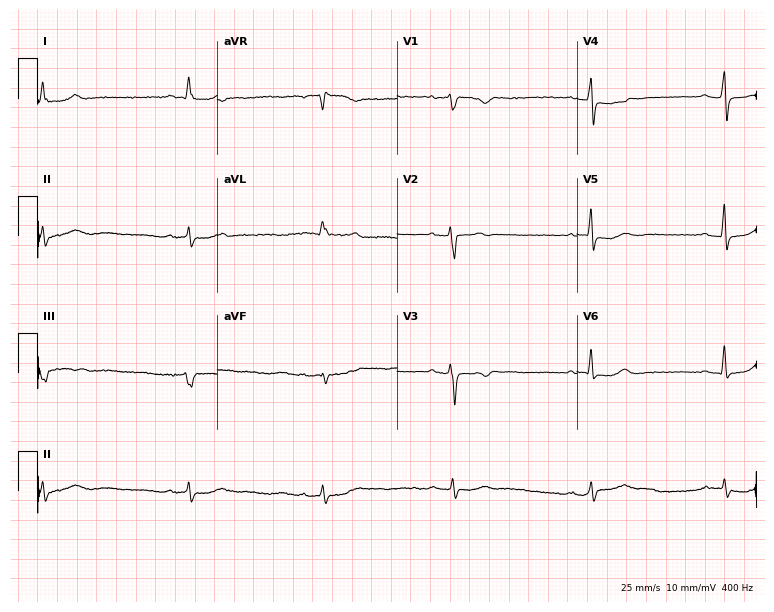
Standard 12-lead ECG recorded from a 63-year-old woman (7.3-second recording at 400 Hz). None of these six findings is recorded: first-degree AV block, right bundle branch block (RBBB), left bundle branch block (LBBB), sinus bradycardia, atrial fibrillation (AF), sinus tachycardia. Only these six findings were labelled.